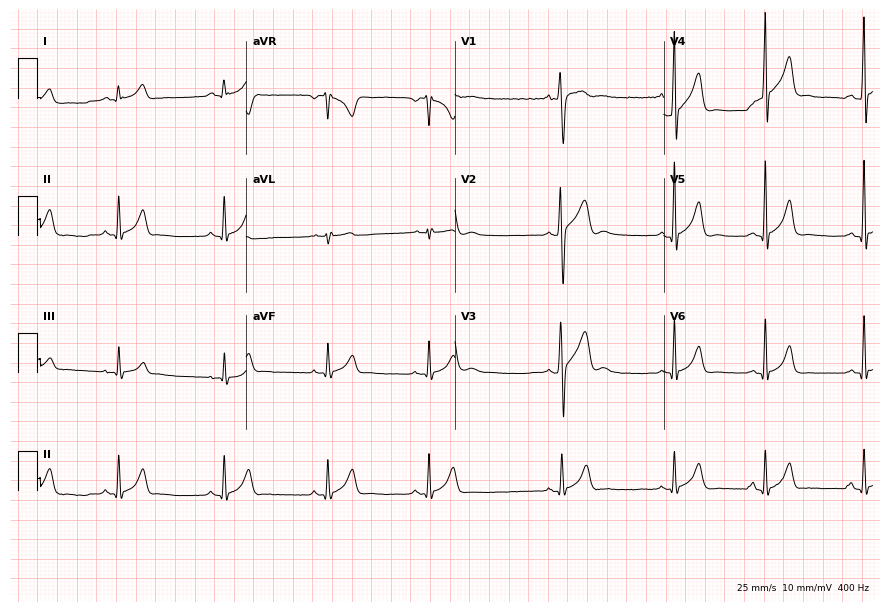
Resting 12-lead electrocardiogram. Patient: a male, 18 years old. Read as a normal ECG.